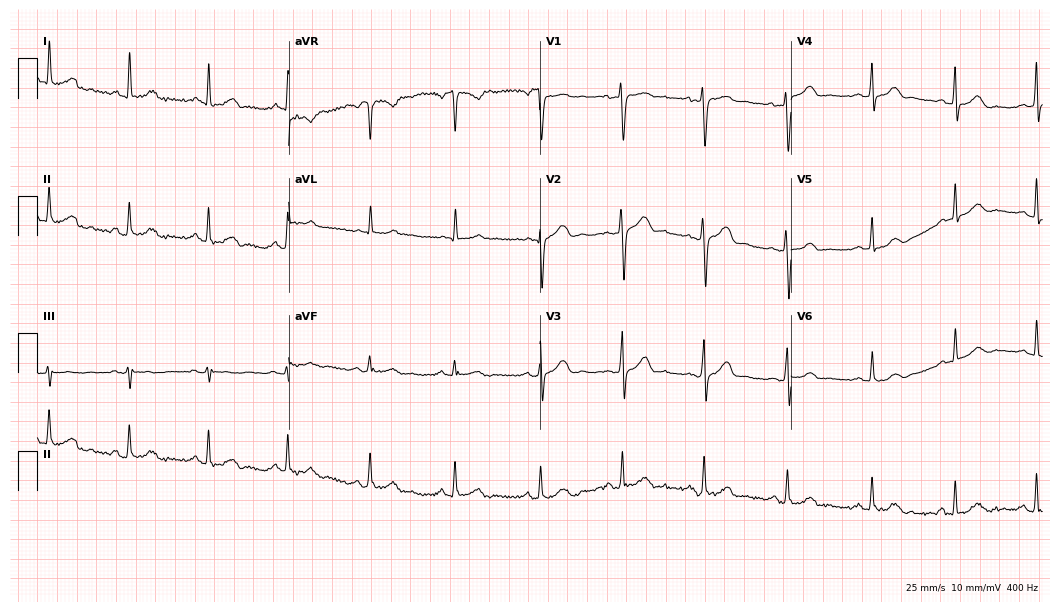
12-lead ECG (10.2-second recording at 400 Hz) from a female patient, 36 years old. Labelled as a normal ECG.